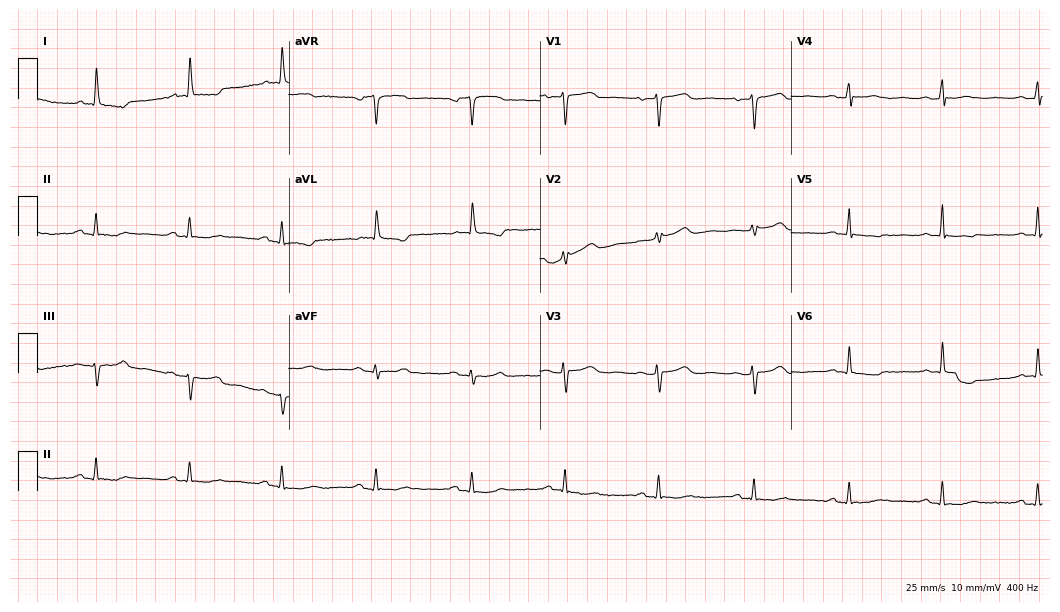
12-lead ECG (10.2-second recording at 400 Hz) from a 68-year-old female. Screened for six findings — first-degree AV block, right bundle branch block, left bundle branch block, sinus bradycardia, atrial fibrillation, sinus tachycardia — none is recorded. Findings outside these six are not listed.